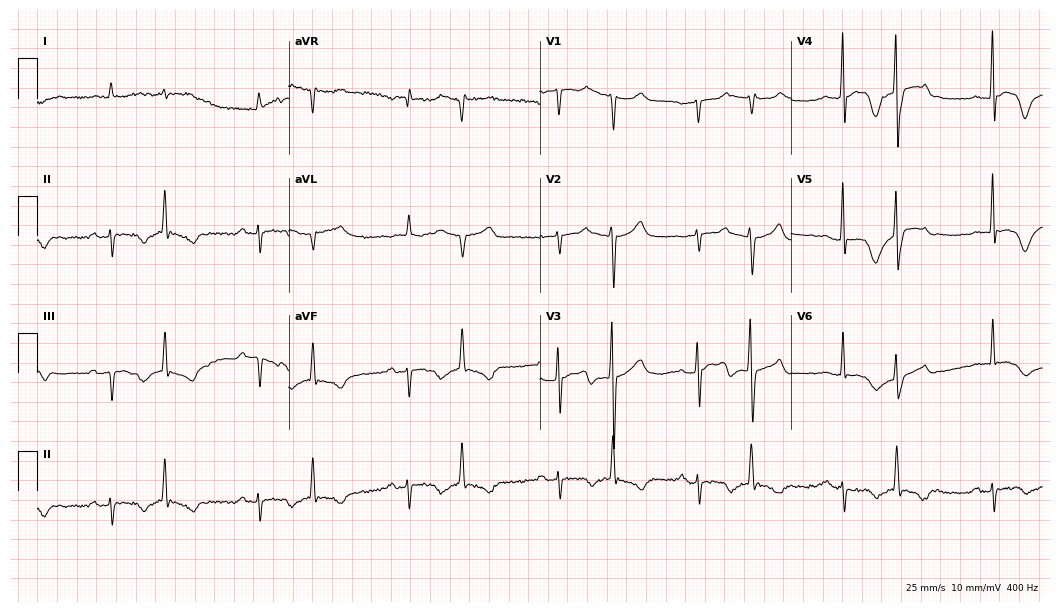
ECG — a male, 79 years old. Screened for six findings — first-degree AV block, right bundle branch block, left bundle branch block, sinus bradycardia, atrial fibrillation, sinus tachycardia — none is recorded. Other findings, if any, are not listed.